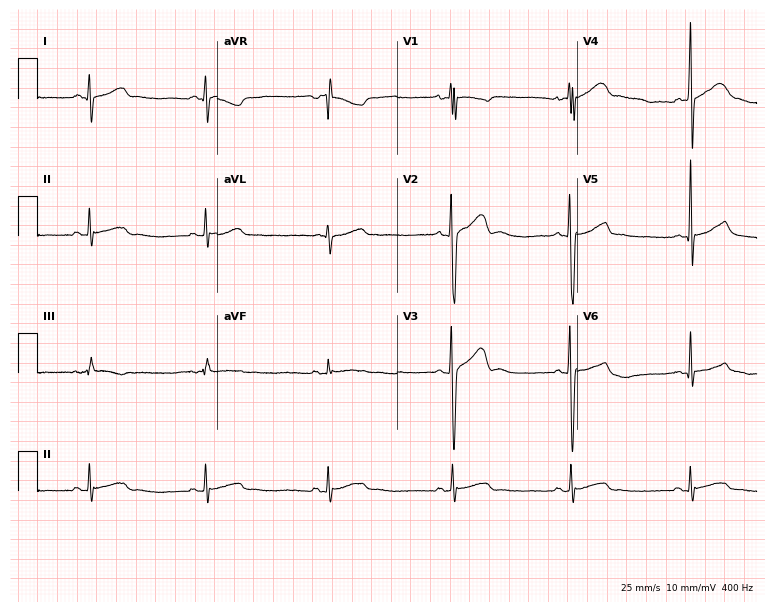
Standard 12-lead ECG recorded from a 17-year-old male patient. Read as a normal ECG.